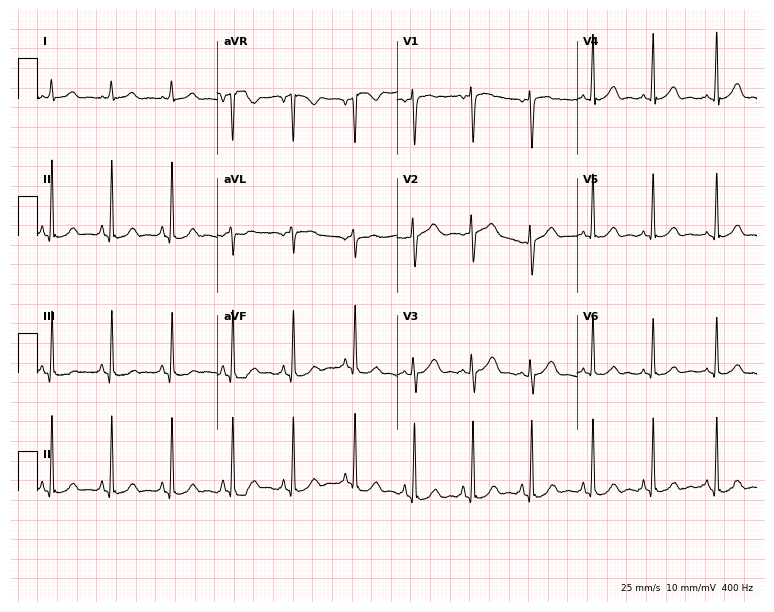
ECG — a female, 33 years old. Labelled as a normal ECG.